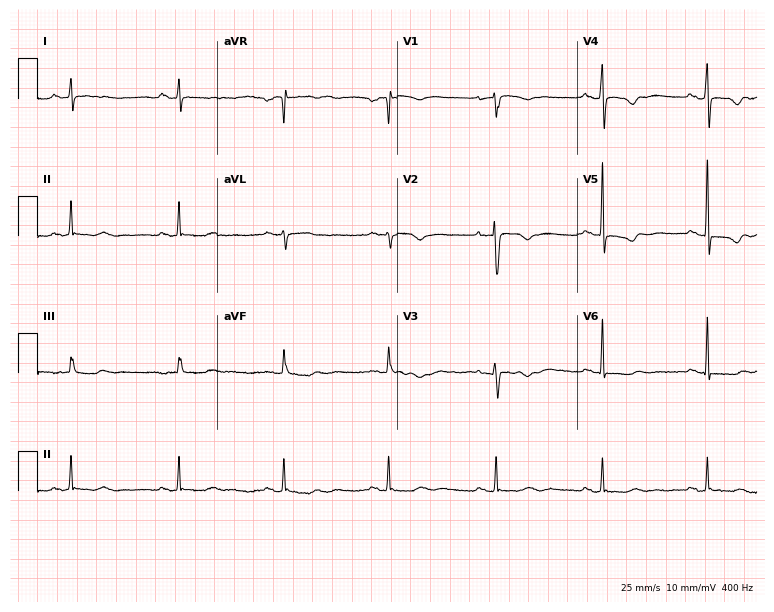
Resting 12-lead electrocardiogram. Patient: a female, 63 years old. None of these six findings is recorded: first-degree AV block, right bundle branch block, left bundle branch block, sinus bradycardia, atrial fibrillation, sinus tachycardia.